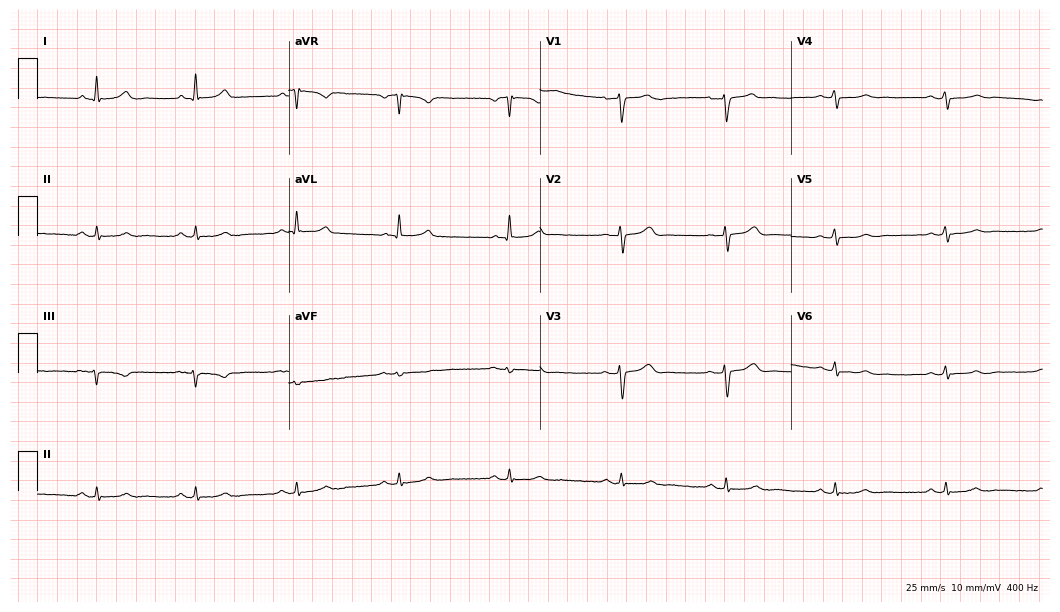
ECG (10.2-second recording at 400 Hz) — a 50-year-old female patient. Screened for six findings — first-degree AV block, right bundle branch block, left bundle branch block, sinus bradycardia, atrial fibrillation, sinus tachycardia — none is recorded.